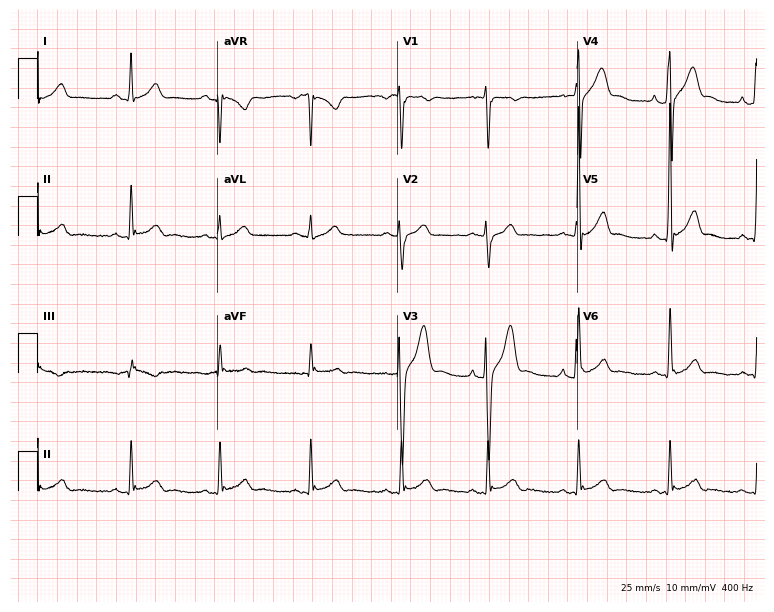
12-lead ECG from a man, 24 years old. No first-degree AV block, right bundle branch block (RBBB), left bundle branch block (LBBB), sinus bradycardia, atrial fibrillation (AF) or sinus tachycardia recorded for this tracing. Findings outside these six are not listed.